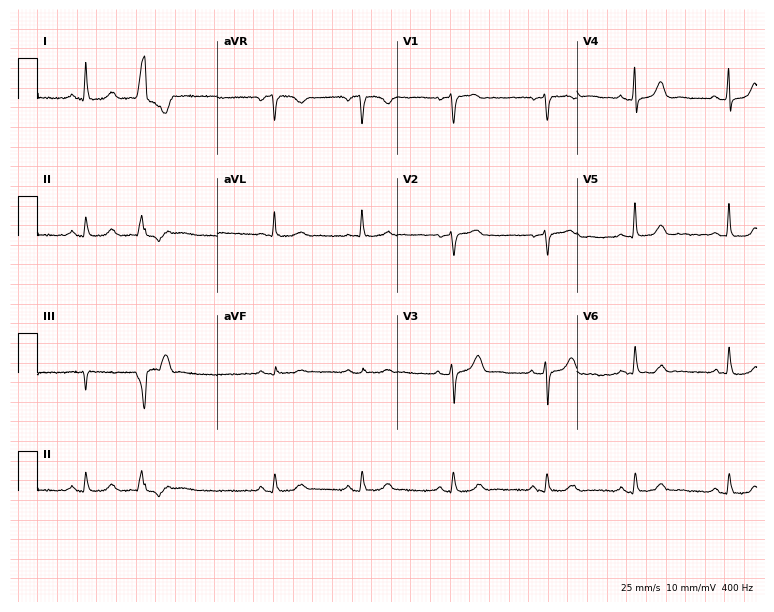
Resting 12-lead electrocardiogram. Patient: a woman, 63 years old. None of these six findings is recorded: first-degree AV block, right bundle branch block (RBBB), left bundle branch block (LBBB), sinus bradycardia, atrial fibrillation (AF), sinus tachycardia. Findings outside these six are not listed.